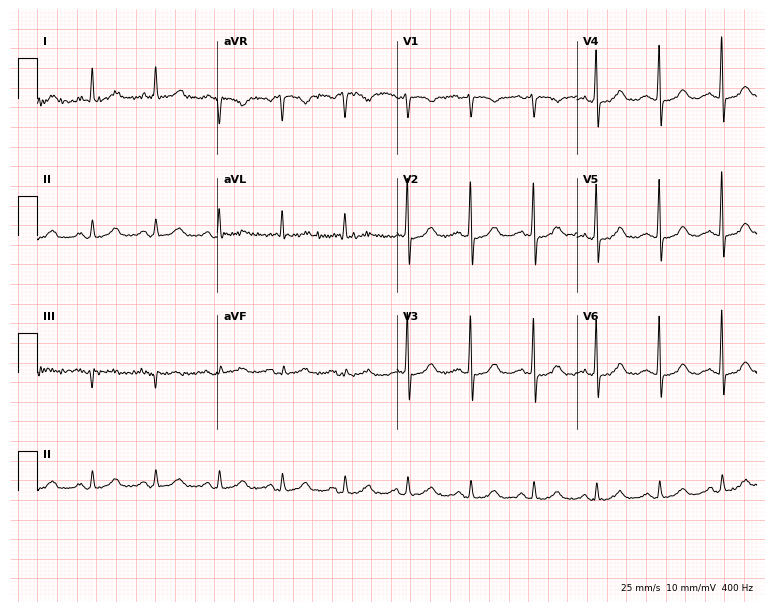
12-lead ECG from a 77-year-old woman. No first-degree AV block, right bundle branch block, left bundle branch block, sinus bradycardia, atrial fibrillation or sinus tachycardia recorded for this tracing. Findings outside these six are not listed.